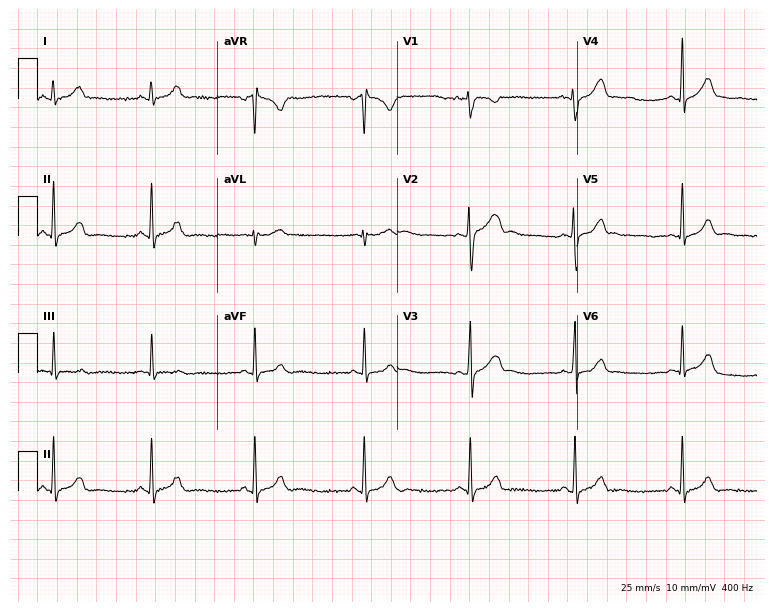
ECG (7.3-second recording at 400 Hz) — a 22-year-old woman. Labelled as a normal ECG.